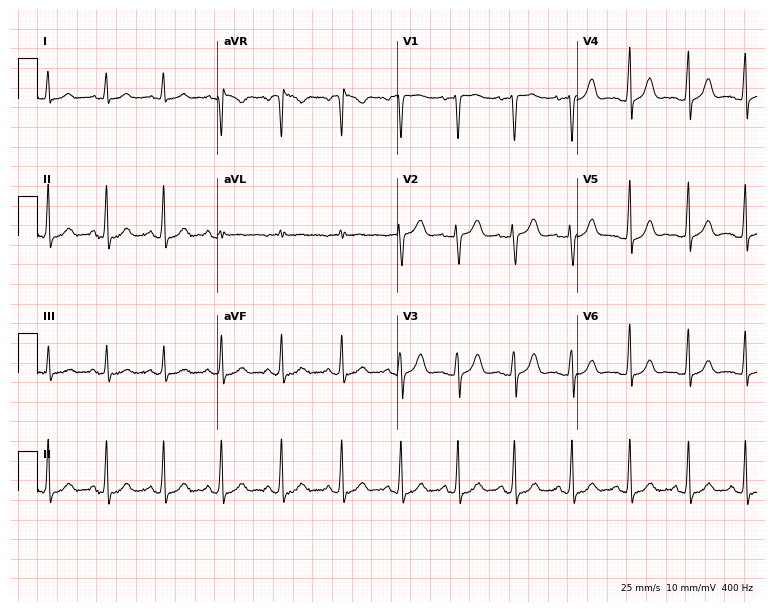
12-lead ECG from a 27-year-old woman (7.3-second recording at 400 Hz). Shows sinus tachycardia (a sinus rate of 100 beats per minute or more).